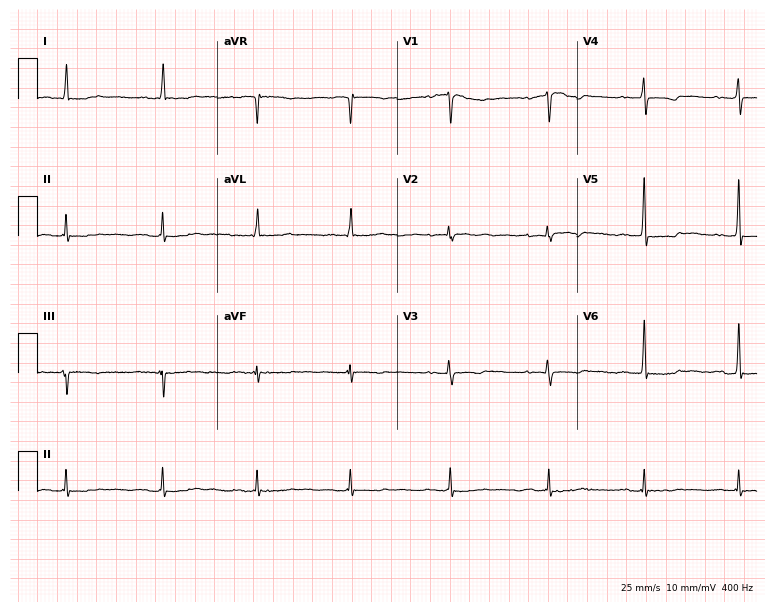
12-lead ECG from a woman, 72 years old. Findings include first-degree AV block.